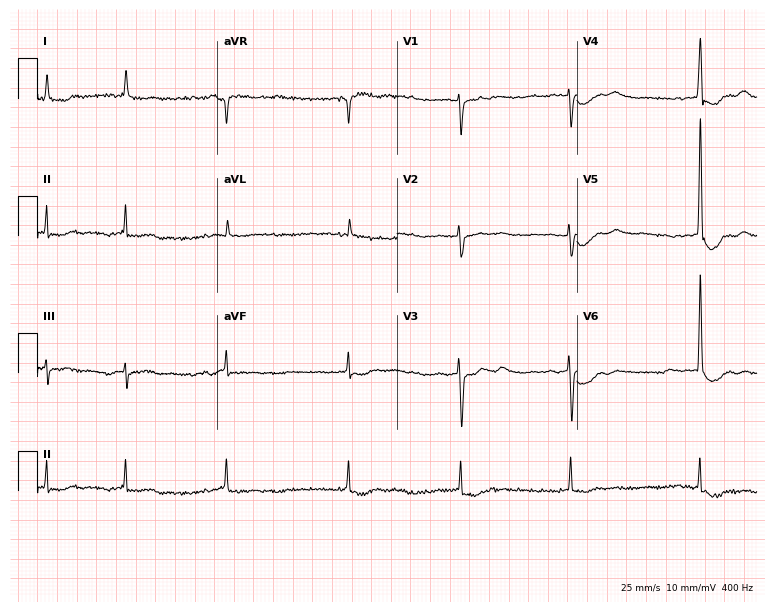
12-lead ECG (7.3-second recording at 400 Hz) from an 80-year-old female. Findings include atrial fibrillation.